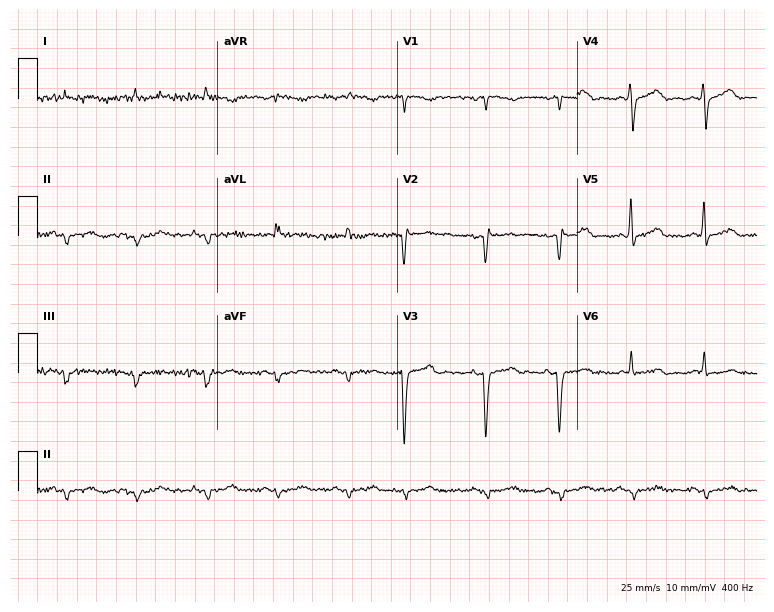
ECG (7.3-second recording at 400 Hz) — a 69-year-old male. Screened for six findings — first-degree AV block, right bundle branch block, left bundle branch block, sinus bradycardia, atrial fibrillation, sinus tachycardia — none is recorded. Only these six findings were labelled.